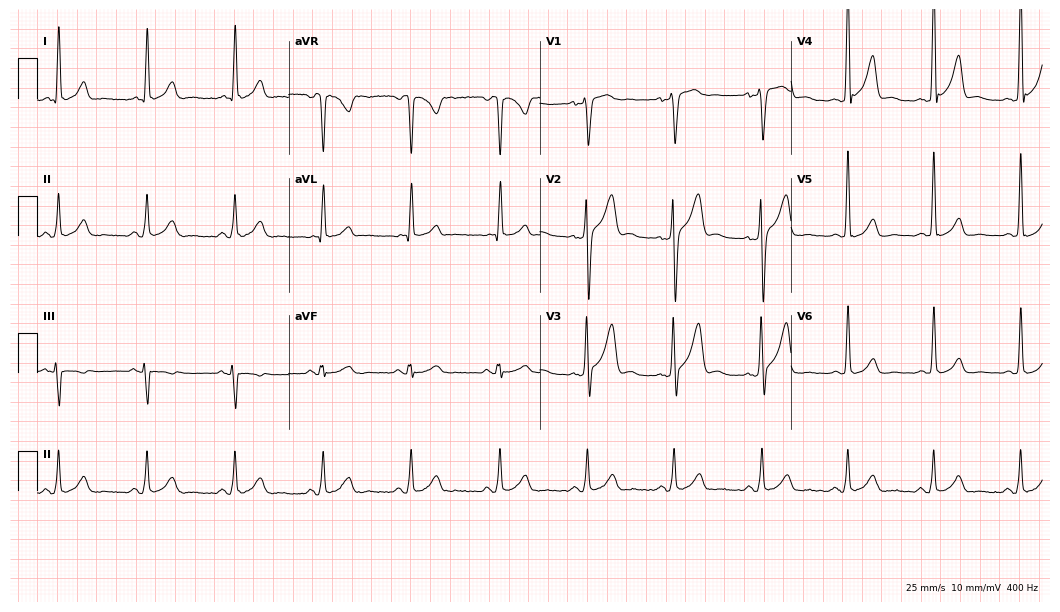
ECG — a male, 41 years old. Labelled as a normal ECG.